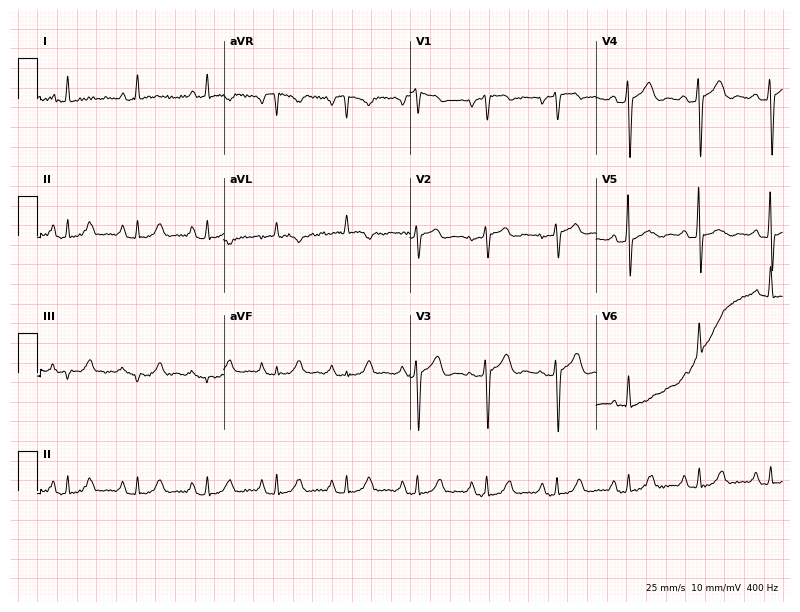
ECG — an 81-year-old male. Screened for six findings — first-degree AV block, right bundle branch block, left bundle branch block, sinus bradycardia, atrial fibrillation, sinus tachycardia — none is recorded.